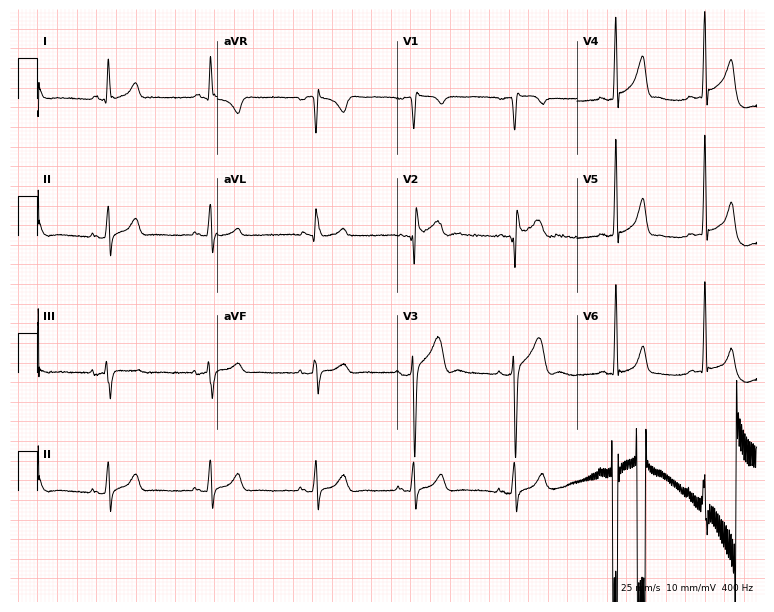
12-lead ECG from a male patient, 27 years old. Screened for six findings — first-degree AV block, right bundle branch block, left bundle branch block, sinus bradycardia, atrial fibrillation, sinus tachycardia — none is recorded.